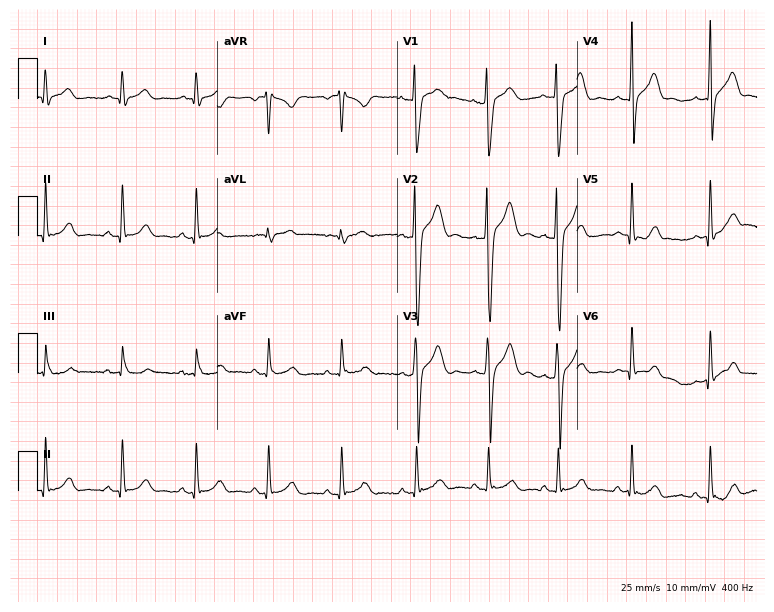
12-lead ECG from a male, 19 years old. Recorded interpretation: within normal limits.